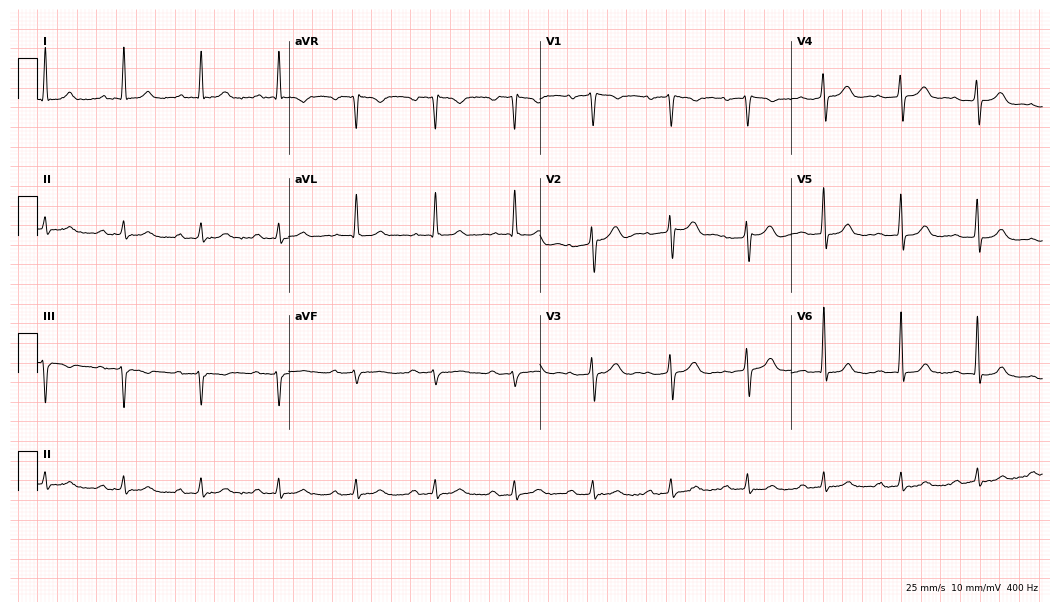
12-lead ECG from a 72-year-old male patient (10.2-second recording at 400 Hz). Shows first-degree AV block.